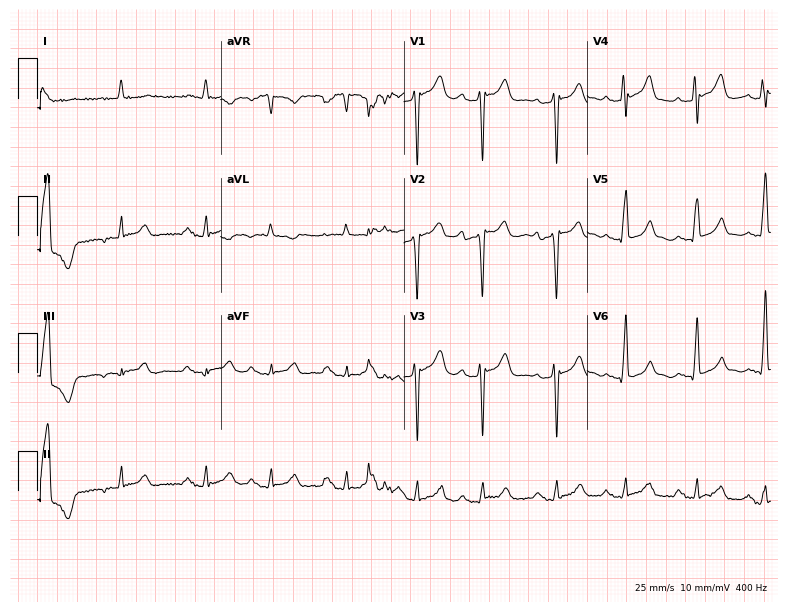
12-lead ECG (7.5-second recording at 400 Hz) from a 79-year-old male patient. Labelled as a normal ECG.